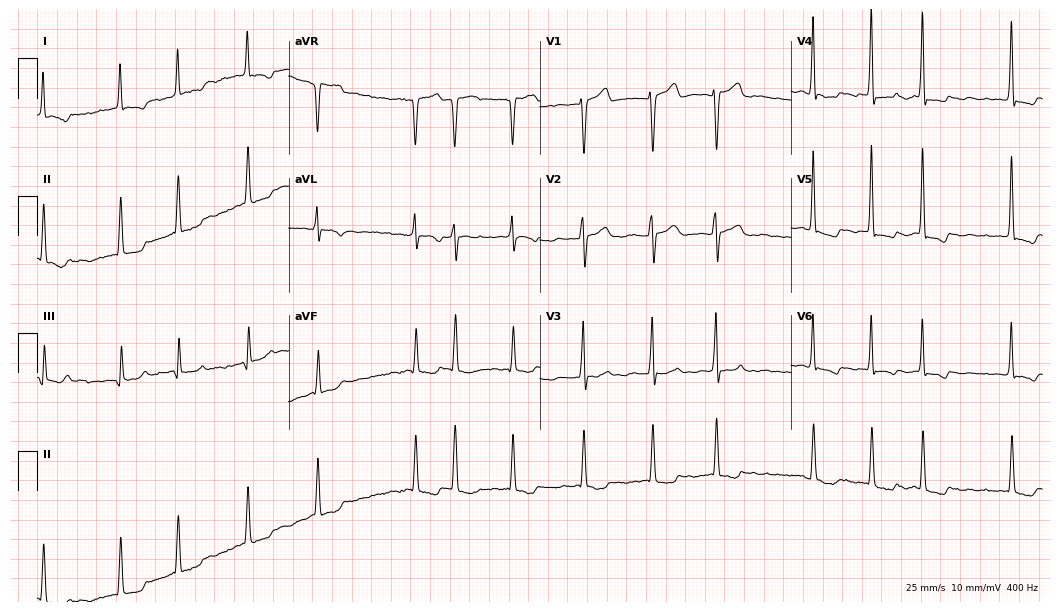
12-lead ECG (10.2-second recording at 400 Hz) from a female patient, 67 years old. Findings include atrial fibrillation (AF).